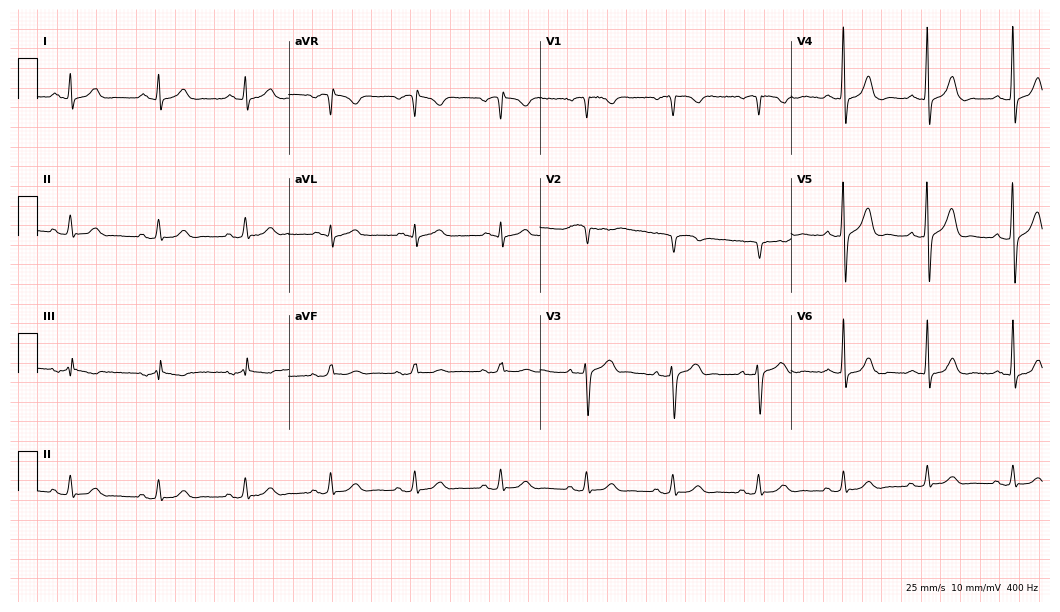
12-lead ECG (10.2-second recording at 400 Hz) from a 56-year-old male patient. Labelled as a normal ECG.